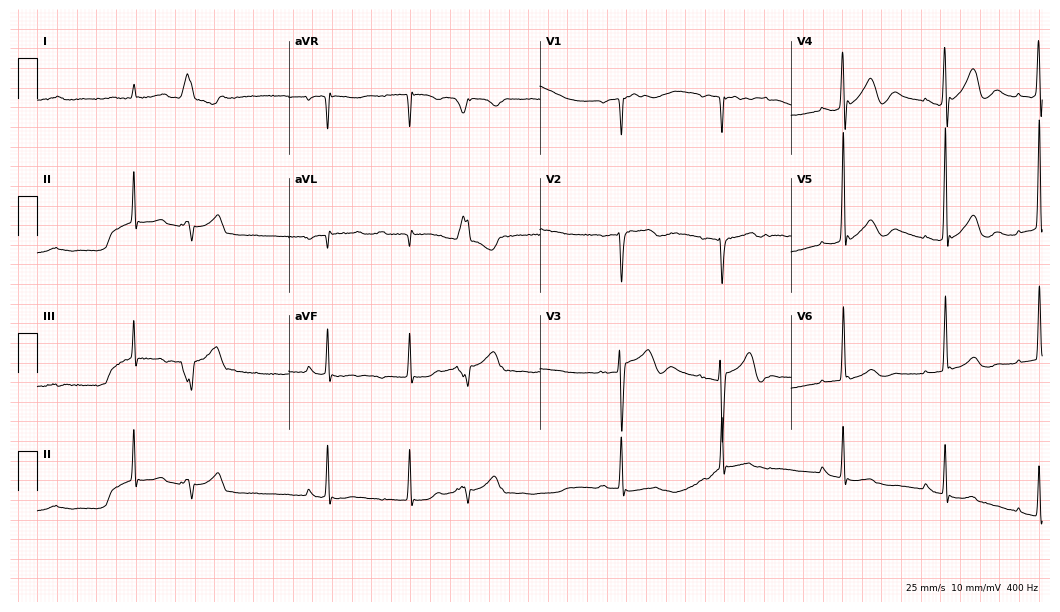
12-lead ECG from an 82-year-old man (10.2-second recording at 400 Hz). No first-degree AV block, right bundle branch block (RBBB), left bundle branch block (LBBB), sinus bradycardia, atrial fibrillation (AF) or sinus tachycardia recorded for this tracing.